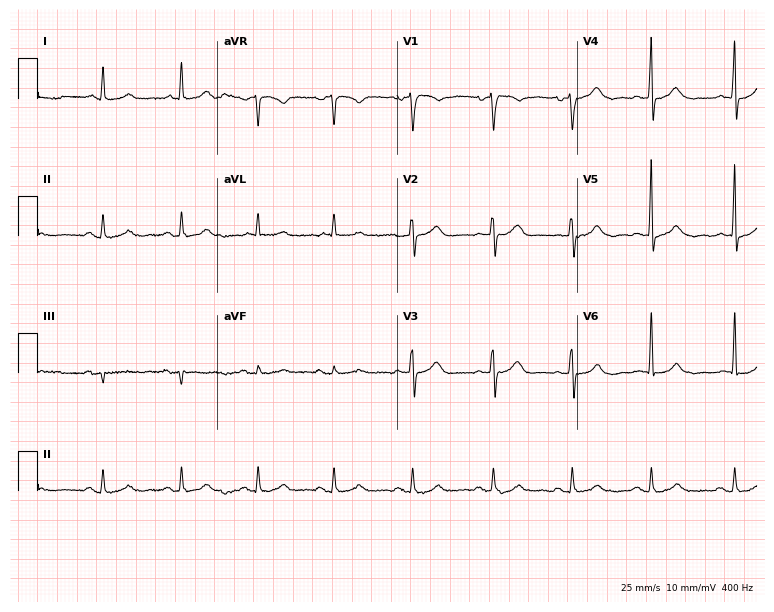
12-lead ECG from a 78-year-old male patient. Labelled as a normal ECG.